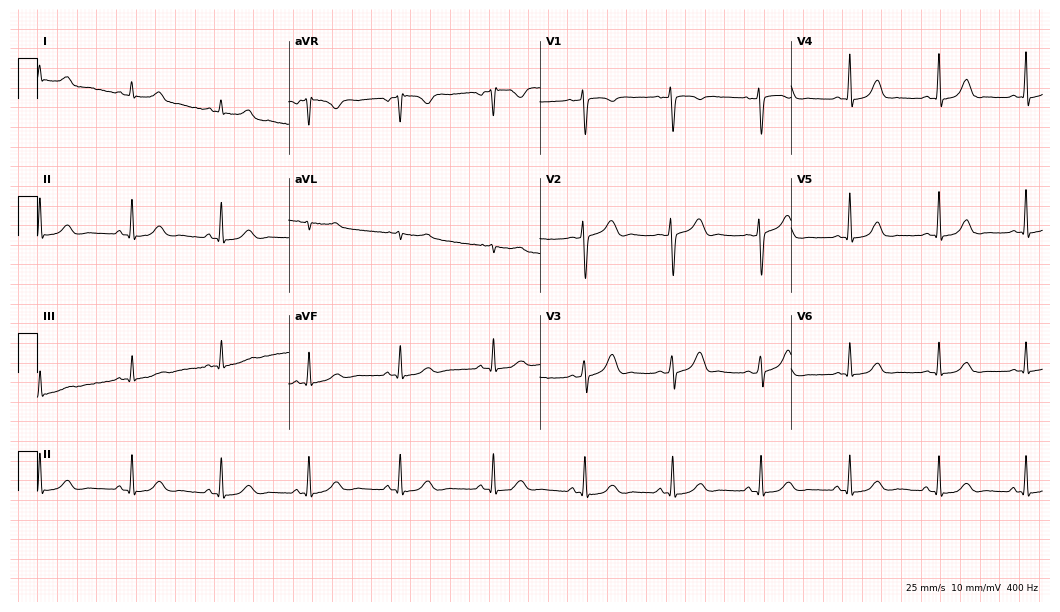
Standard 12-lead ECG recorded from a female patient, 38 years old. Read as a normal ECG.